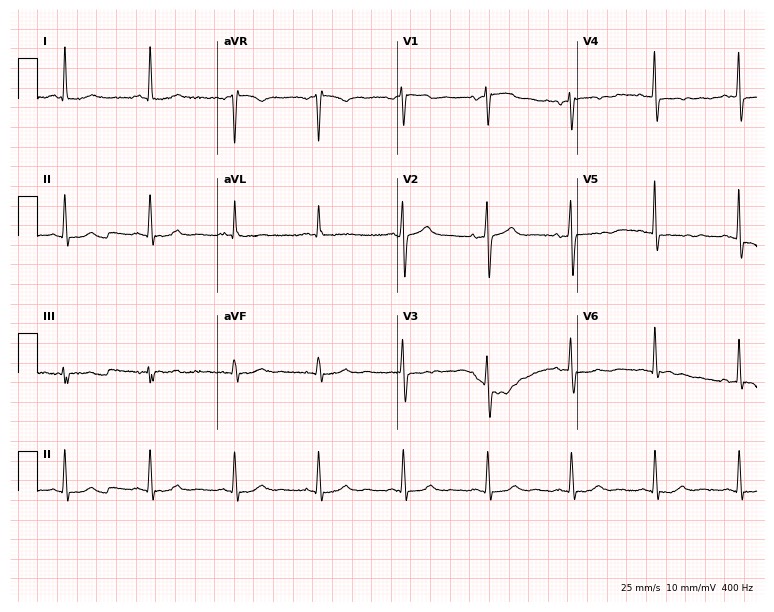
Electrocardiogram, a 76-year-old female. Of the six screened findings (first-degree AV block, right bundle branch block (RBBB), left bundle branch block (LBBB), sinus bradycardia, atrial fibrillation (AF), sinus tachycardia), none is recorded. Only these six findings were labelled.